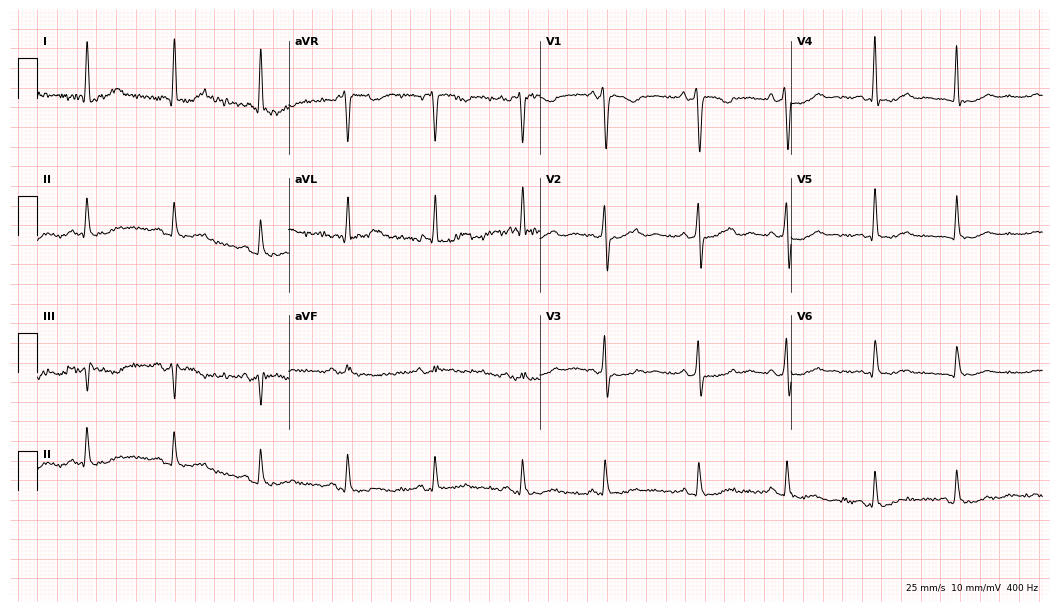
Resting 12-lead electrocardiogram. Patient: a 71-year-old female. None of these six findings is recorded: first-degree AV block, right bundle branch block, left bundle branch block, sinus bradycardia, atrial fibrillation, sinus tachycardia.